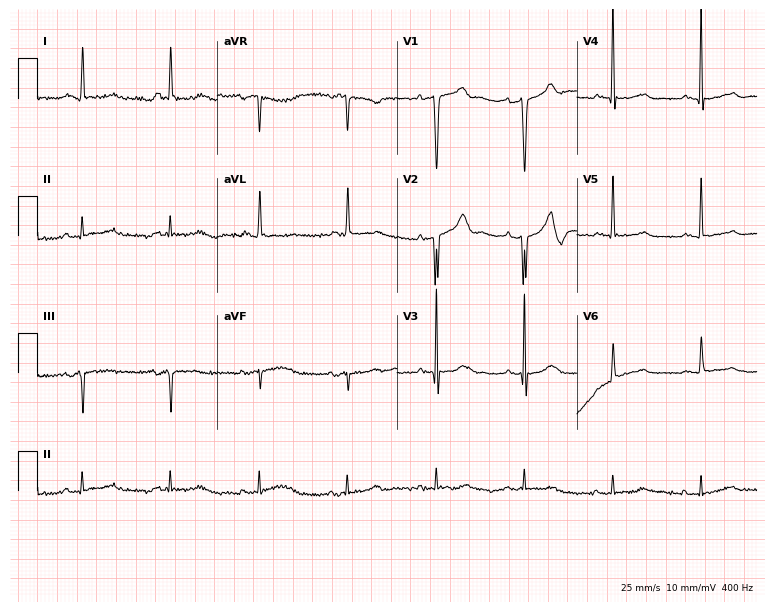
12-lead ECG from an 83-year-old female patient (7.3-second recording at 400 Hz). No first-degree AV block, right bundle branch block (RBBB), left bundle branch block (LBBB), sinus bradycardia, atrial fibrillation (AF) or sinus tachycardia recorded for this tracing.